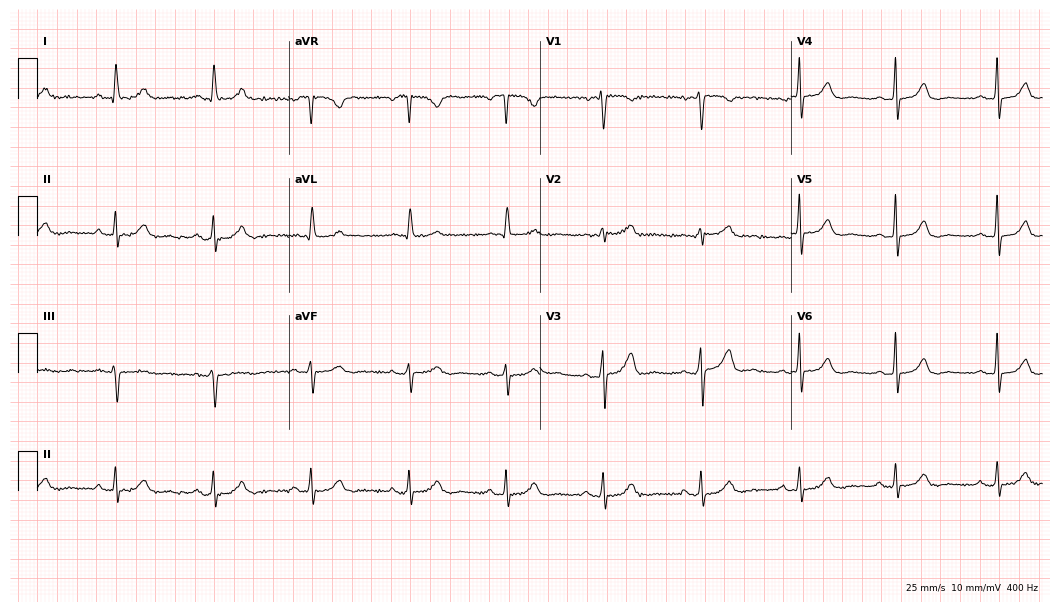
12-lead ECG from a woman, 53 years old (10.2-second recording at 400 Hz). Recorded interpretation: within normal limits.